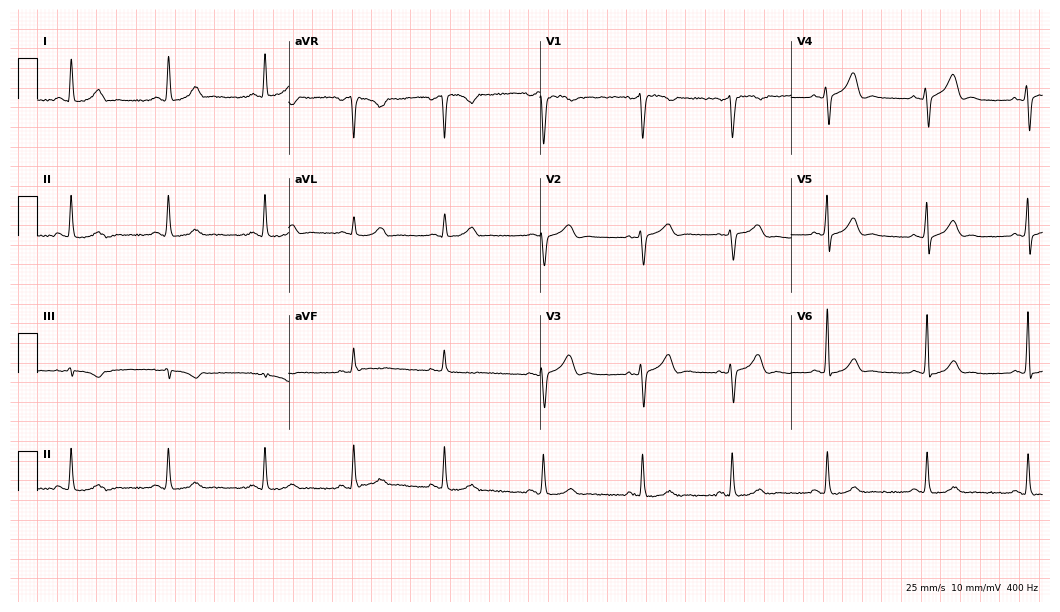
12-lead ECG from a 35-year-old female patient. Recorded interpretation: within normal limits.